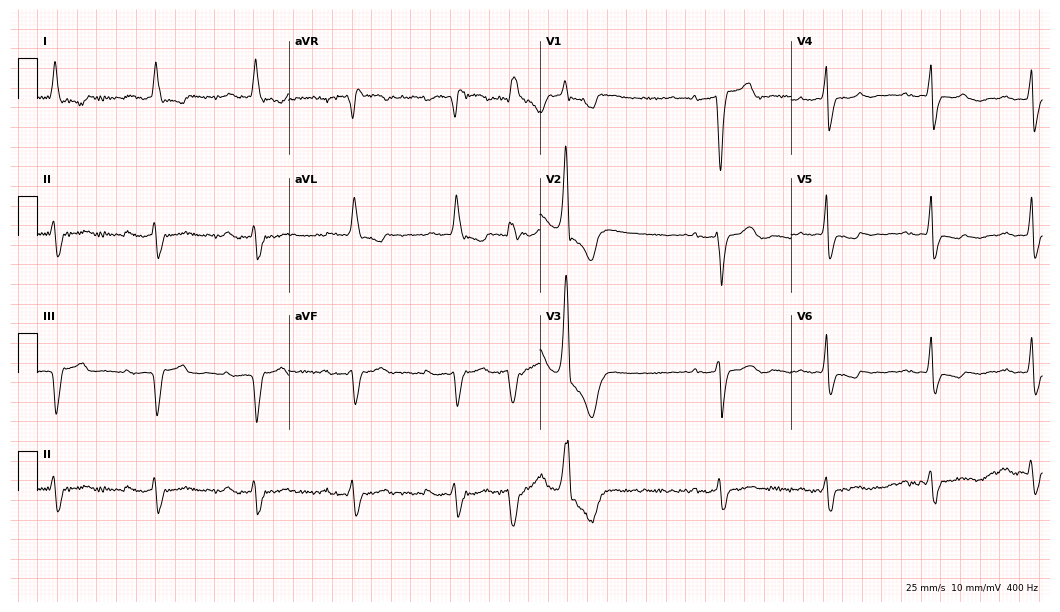
Standard 12-lead ECG recorded from an 84-year-old woman. The tracing shows first-degree AV block.